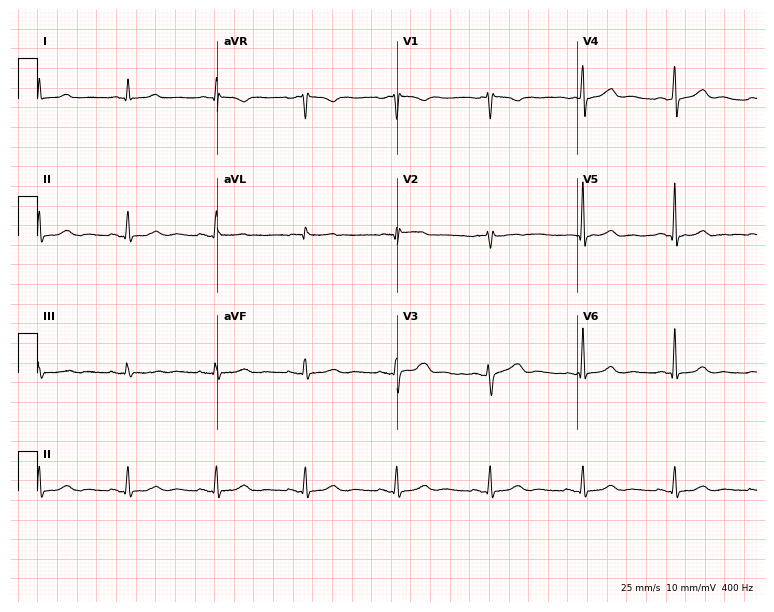
Resting 12-lead electrocardiogram (7.3-second recording at 400 Hz). Patient: a 53-year-old female. Read as a normal ECG.